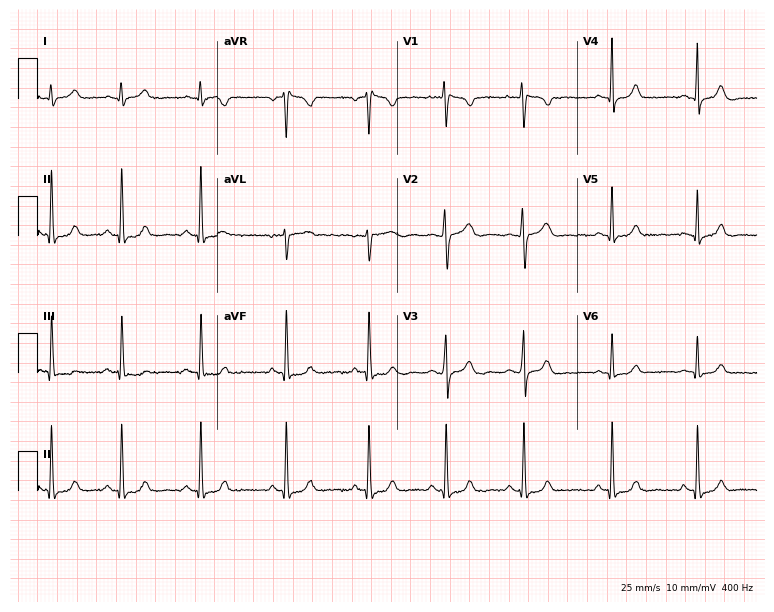
Standard 12-lead ECG recorded from a 27-year-old female. None of these six findings is recorded: first-degree AV block, right bundle branch block (RBBB), left bundle branch block (LBBB), sinus bradycardia, atrial fibrillation (AF), sinus tachycardia. Other findings, if any, are not listed.